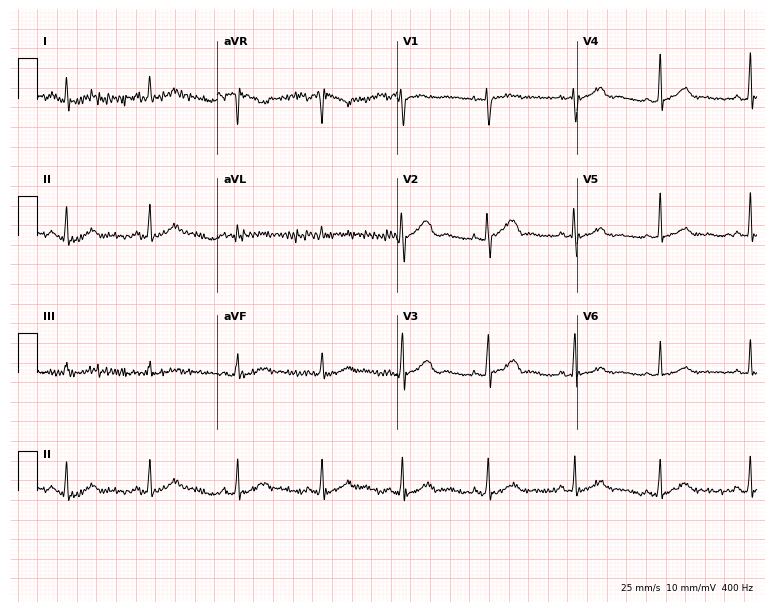
12-lead ECG (7.3-second recording at 400 Hz) from an 18-year-old female. Labelled as a normal ECG.